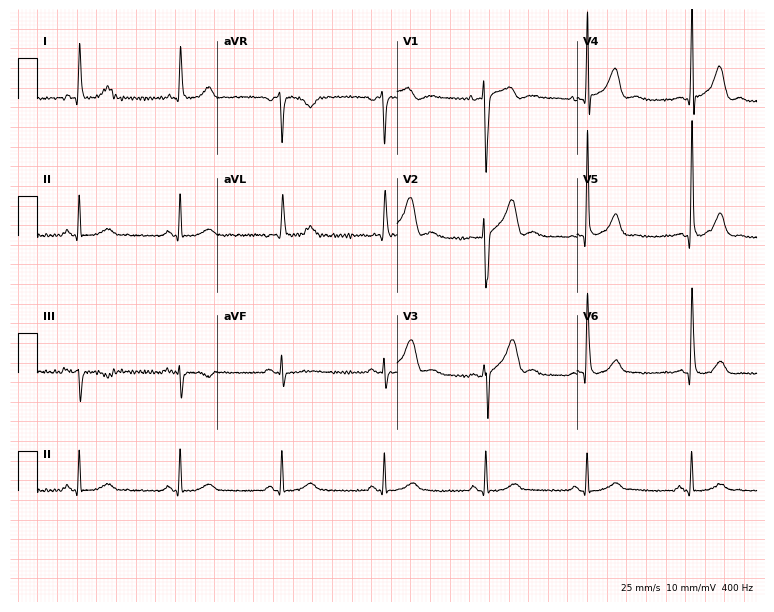
ECG — a 68-year-old male patient. Labelled as a normal ECG.